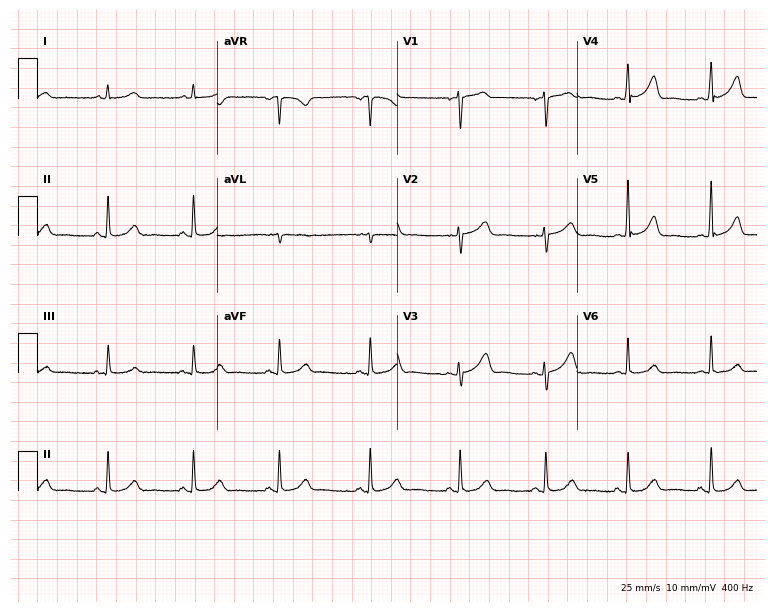
Resting 12-lead electrocardiogram (7.3-second recording at 400 Hz). Patient: a 56-year-old woman. Read as a normal ECG.